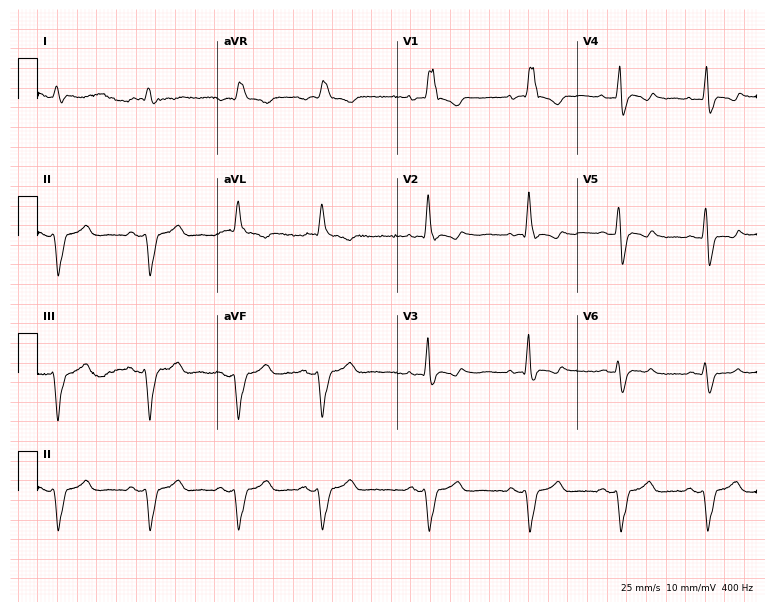
12-lead ECG from a male patient, 68 years old (7.3-second recording at 400 Hz). Shows right bundle branch block.